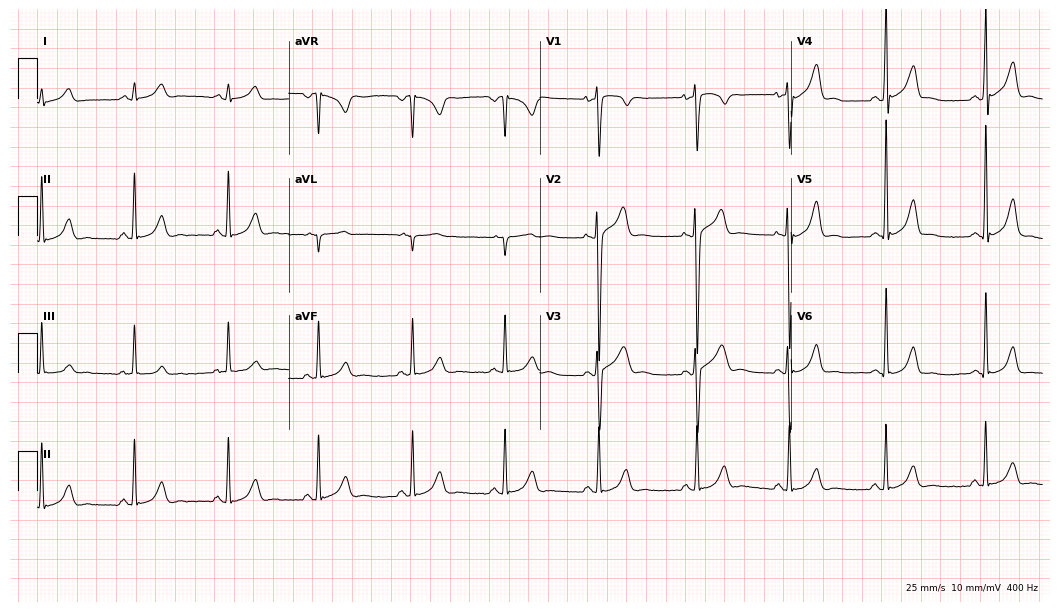
Standard 12-lead ECG recorded from a 24-year-old man (10.2-second recording at 400 Hz). Read as a normal ECG.